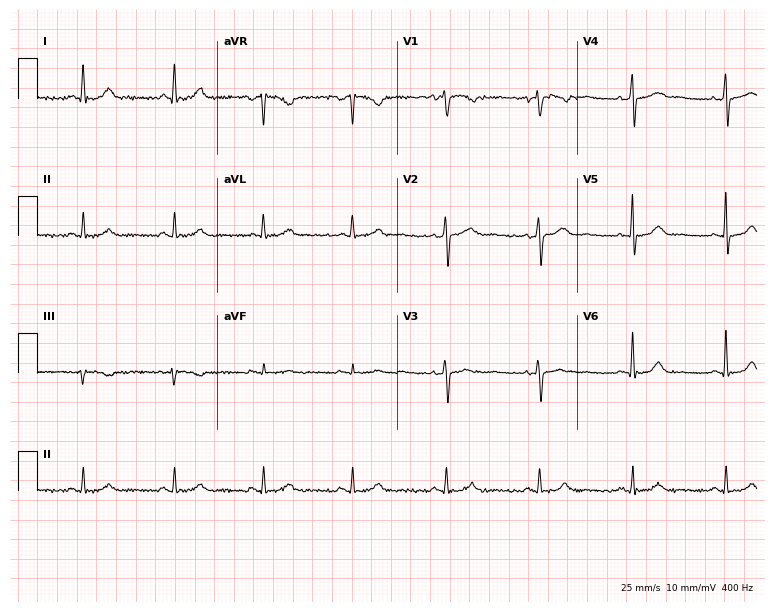
12-lead ECG from a 60-year-old woman. Labelled as a normal ECG.